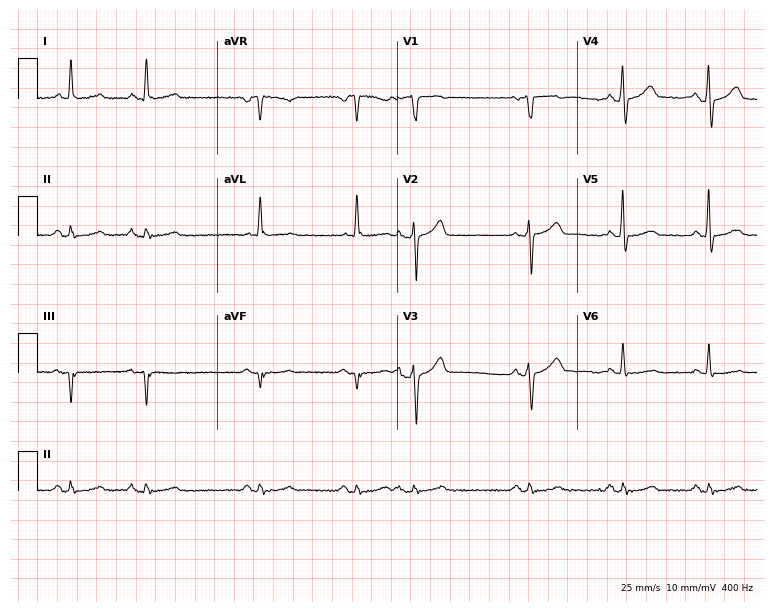
ECG — a woman, 45 years old. Screened for six findings — first-degree AV block, right bundle branch block, left bundle branch block, sinus bradycardia, atrial fibrillation, sinus tachycardia — none is recorded.